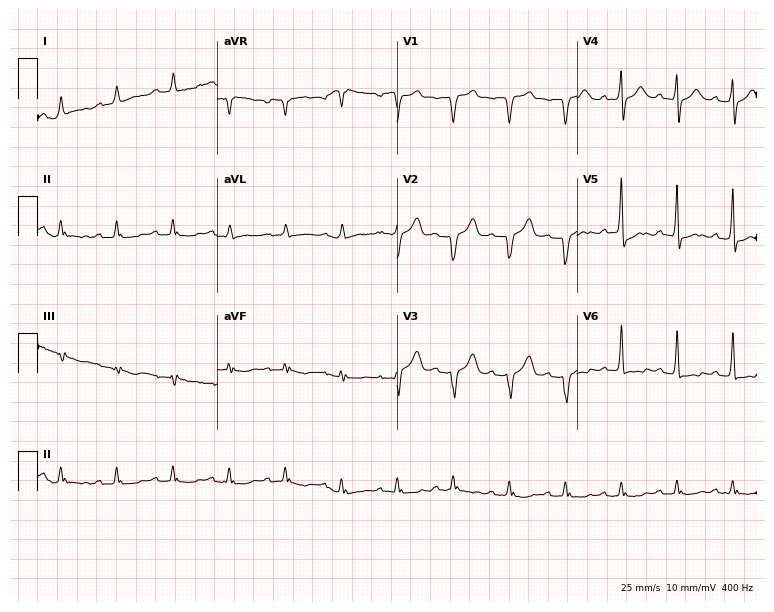
12-lead ECG from a man, 85 years old (7.3-second recording at 400 Hz). No first-degree AV block, right bundle branch block, left bundle branch block, sinus bradycardia, atrial fibrillation or sinus tachycardia recorded for this tracing.